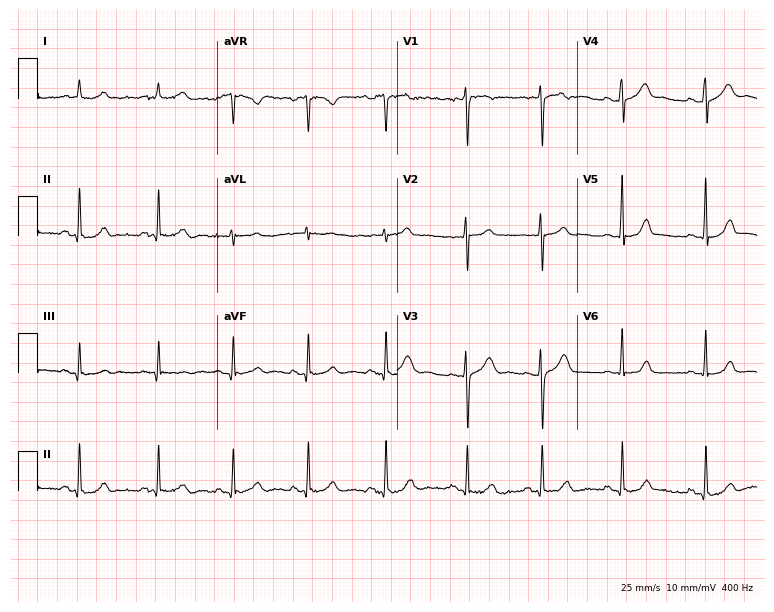
Standard 12-lead ECG recorded from a 25-year-old female. None of these six findings is recorded: first-degree AV block, right bundle branch block, left bundle branch block, sinus bradycardia, atrial fibrillation, sinus tachycardia.